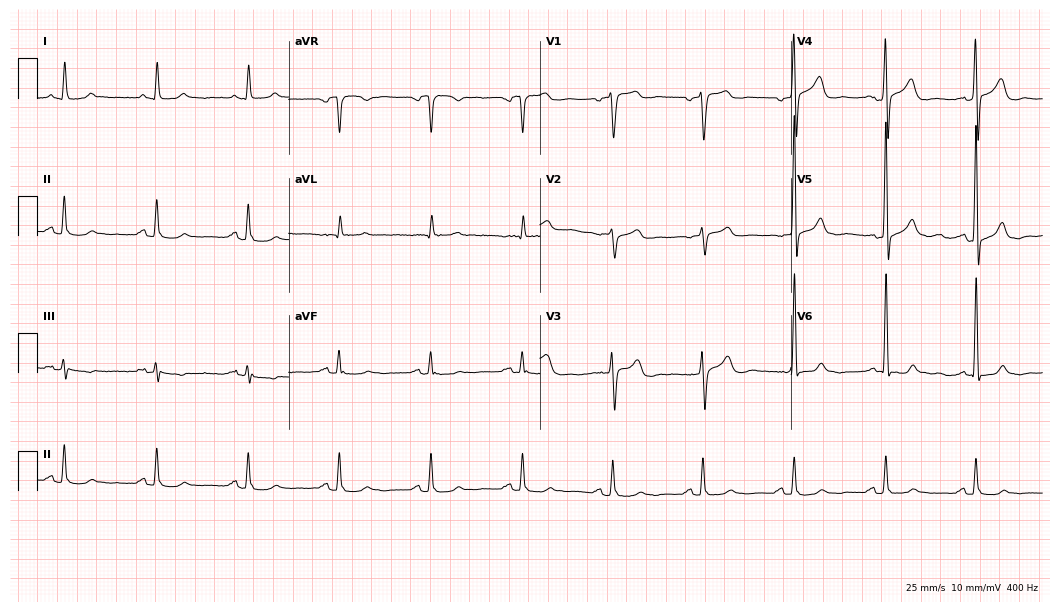
Resting 12-lead electrocardiogram. Patient: a man, 60 years old. Read as a normal ECG.